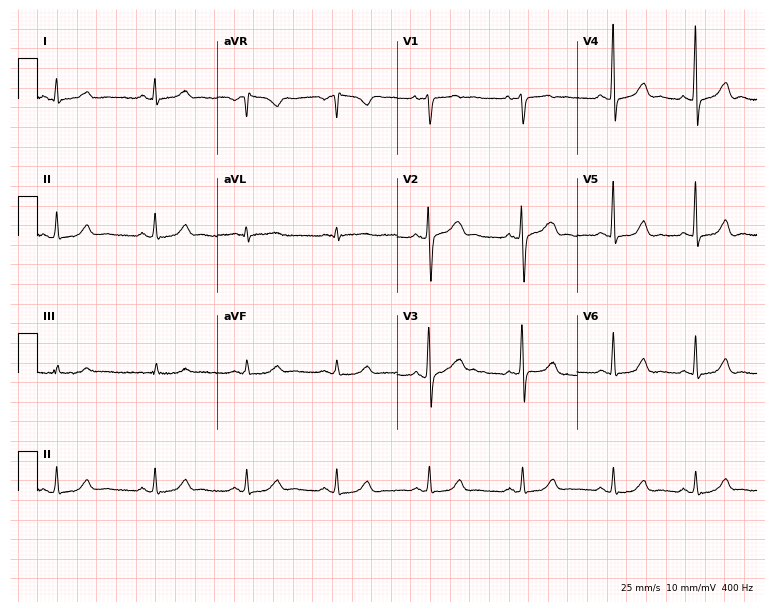
12-lead ECG from a 29-year-old female (7.3-second recording at 400 Hz). No first-degree AV block, right bundle branch block (RBBB), left bundle branch block (LBBB), sinus bradycardia, atrial fibrillation (AF) or sinus tachycardia recorded for this tracing. Only these six findings were labelled.